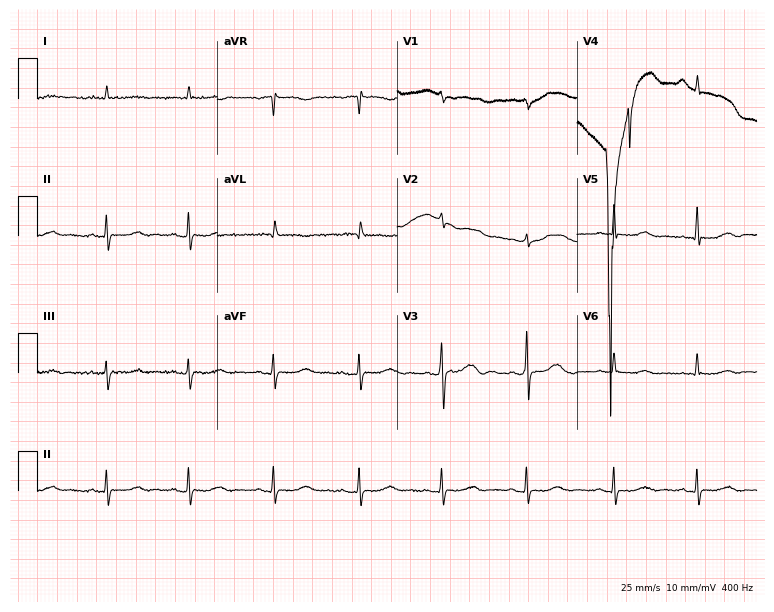
Resting 12-lead electrocardiogram. Patient: a female, 68 years old. Read as a normal ECG.